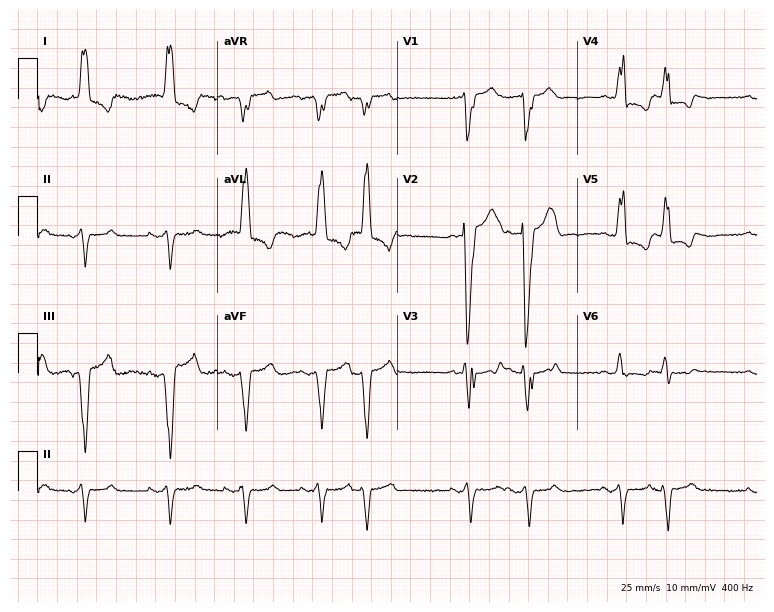
Resting 12-lead electrocardiogram. Patient: a woman, 88 years old. None of these six findings is recorded: first-degree AV block, right bundle branch block, left bundle branch block, sinus bradycardia, atrial fibrillation, sinus tachycardia.